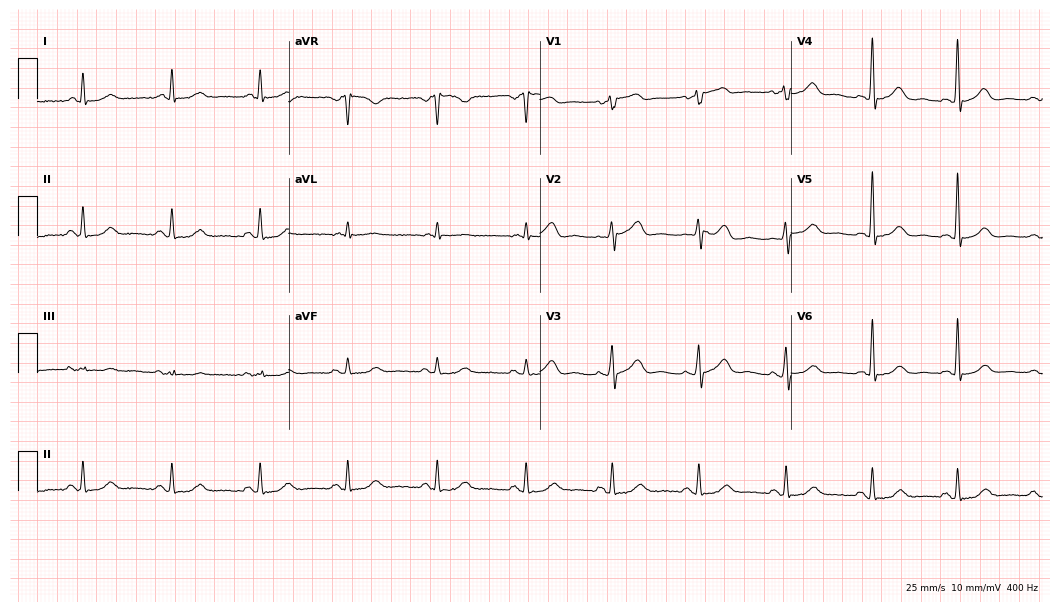
ECG (10.2-second recording at 400 Hz) — a woman, 77 years old. Screened for six findings — first-degree AV block, right bundle branch block (RBBB), left bundle branch block (LBBB), sinus bradycardia, atrial fibrillation (AF), sinus tachycardia — none is recorded.